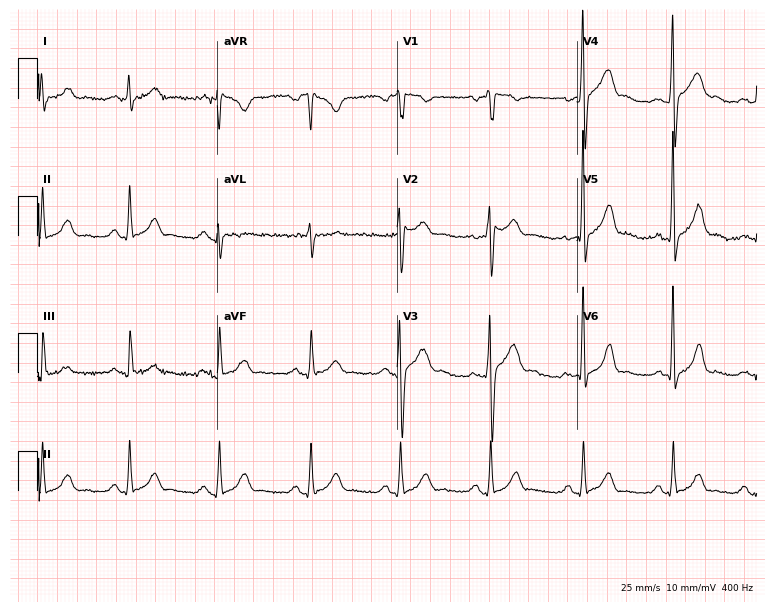
ECG — a male, 38 years old. Screened for six findings — first-degree AV block, right bundle branch block (RBBB), left bundle branch block (LBBB), sinus bradycardia, atrial fibrillation (AF), sinus tachycardia — none is recorded.